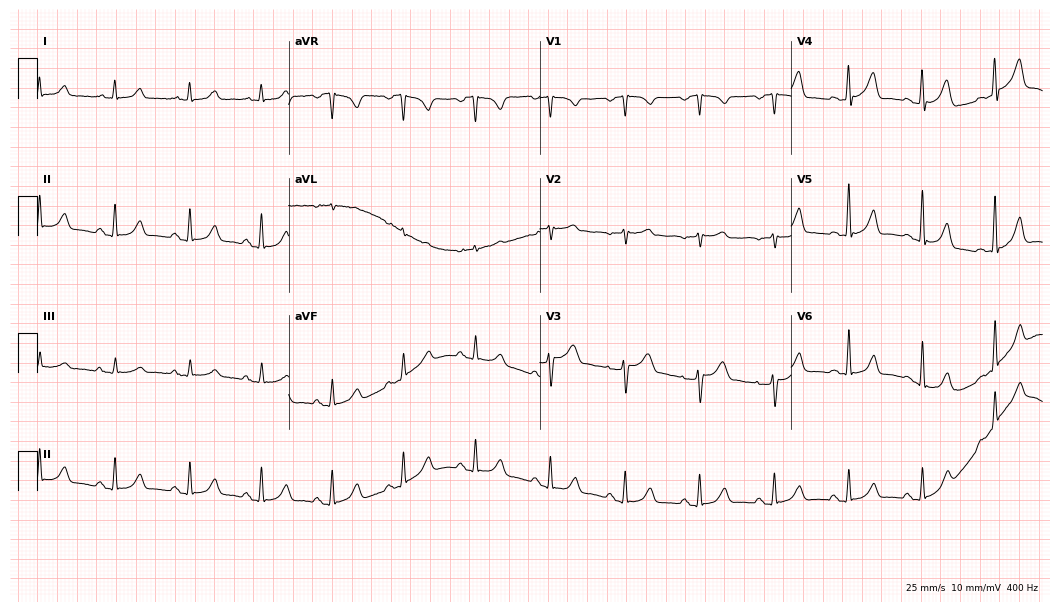
12-lead ECG from a 67-year-old female patient. No first-degree AV block, right bundle branch block, left bundle branch block, sinus bradycardia, atrial fibrillation or sinus tachycardia recorded for this tracing. Only these six findings were labelled.